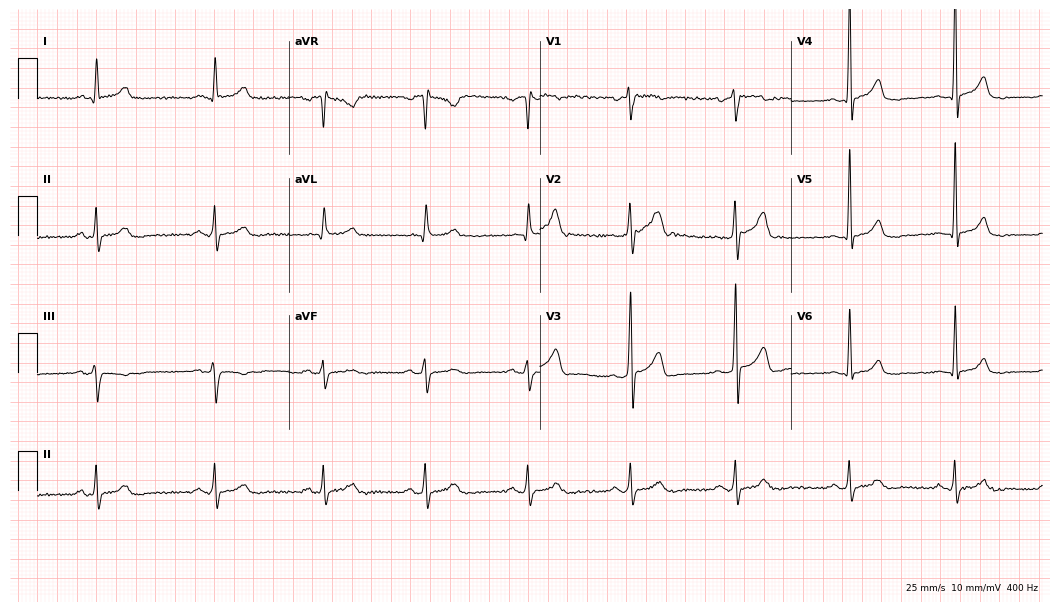
Standard 12-lead ECG recorded from a 51-year-old man (10.2-second recording at 400 Hz). Read as a normal ECG.